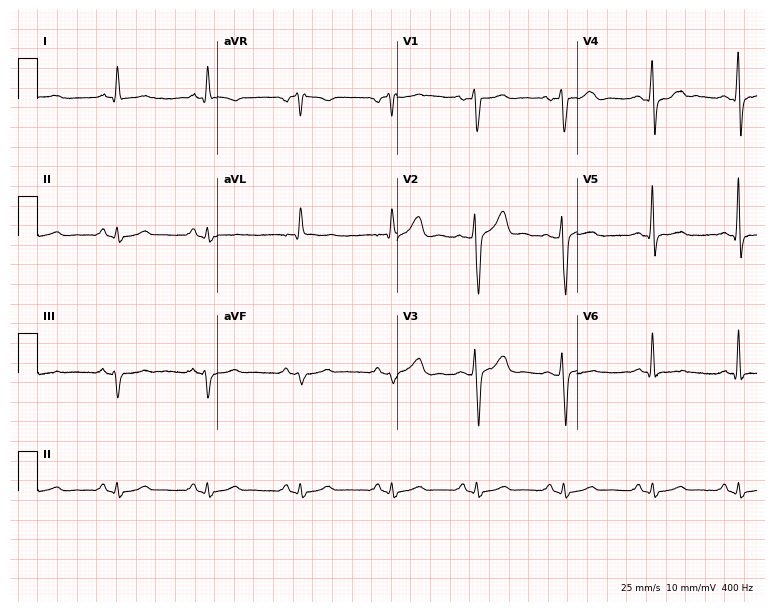
Resting 12-lead electrocardiogram (7.3-second recording at 400 Hz). Patient: a male, 47 years old. None of these six findings is recorded: first-degree AV block, right bundle branch block, left bundle branch block, sinus bradycardia, atrial fibrillation, sinus tachycardia. Other findings, if any, are not listed.